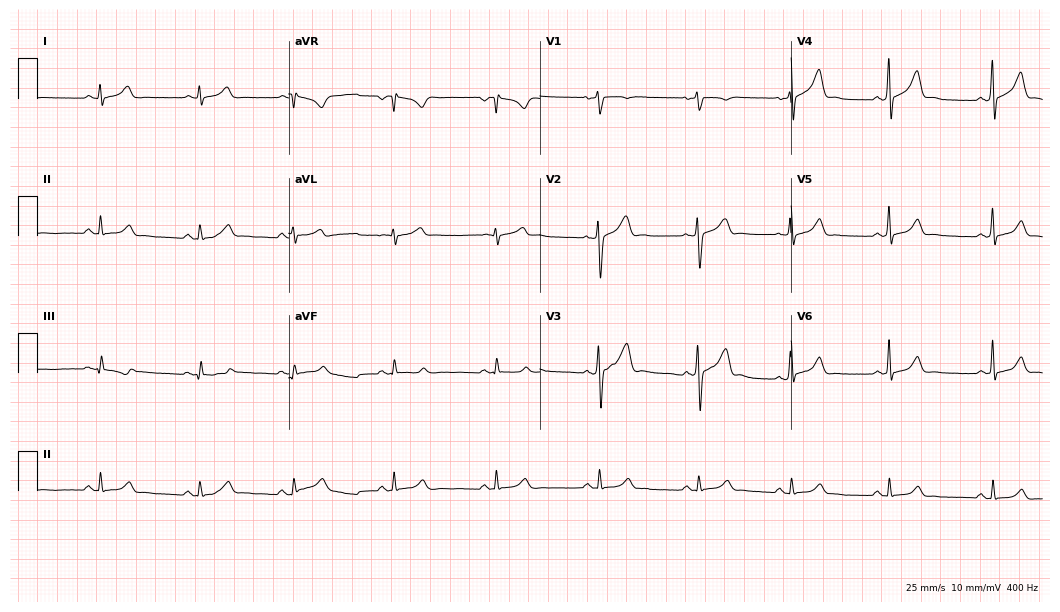
12-lead ECG from a 36-year-old male. Screened for six findings — first-degree AV block, right bundle branch block, left bundle branch block, sinus bradycardia, atrial fibrillation, sinus tachycardia — none is recorded.